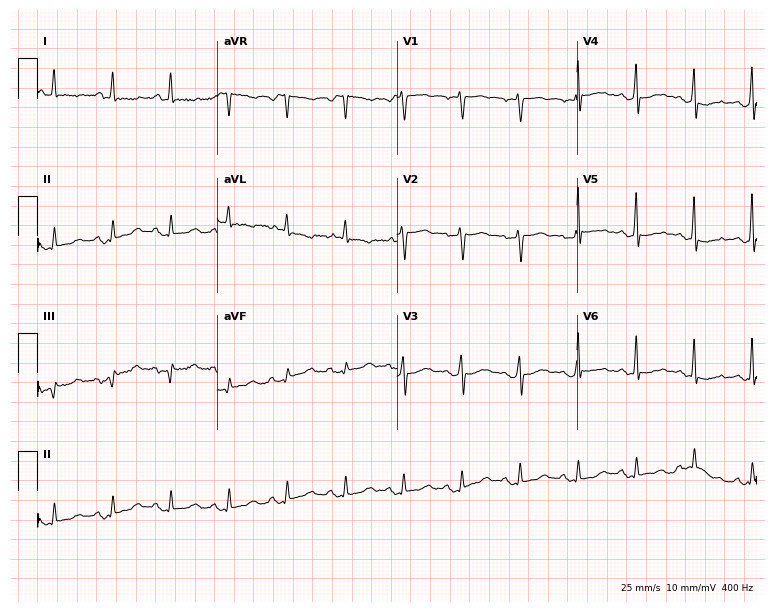
12-lead ECG from a 47-year-old female patient (7.3-second recording at 400 Hz). Shows sinus tachycardia (a sinus rate of 100 beats per minute or more).